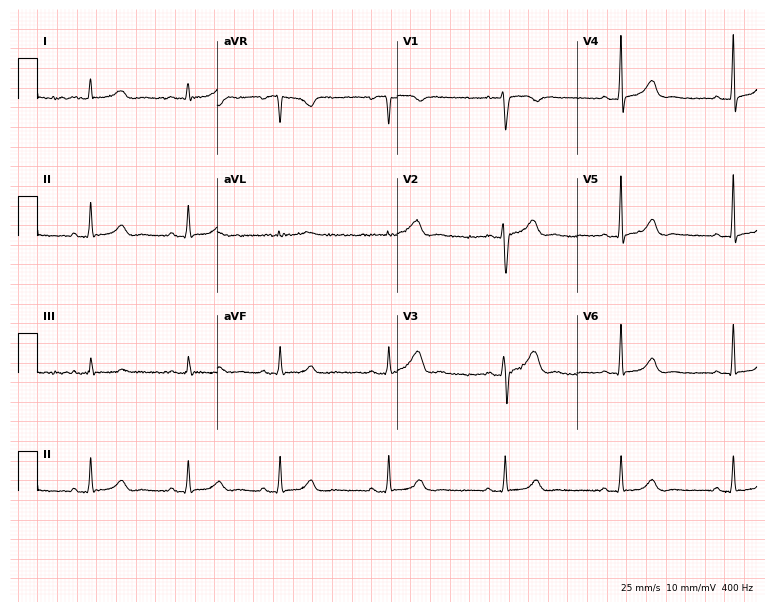
Electrocardiogram, a female, 39 years old. Of the six screened findings (first-degree AV block, right bundle branch block, left bundle branch block, sinus bradycardia, atrial fibrillation, sinus tachycardia), none is recorded.